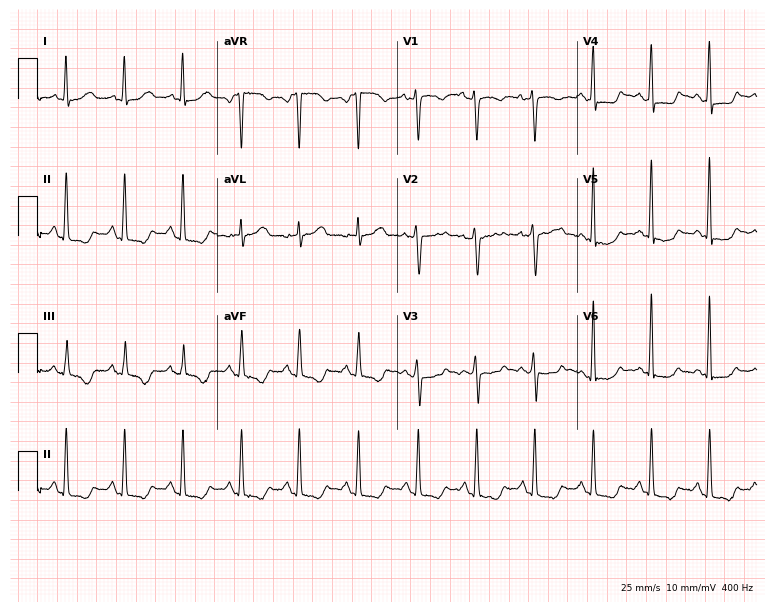
12-lead ECG from a woman, 42 years old. Shows sinus tachycardia (a sinus rate of 100 beats per minute or more).